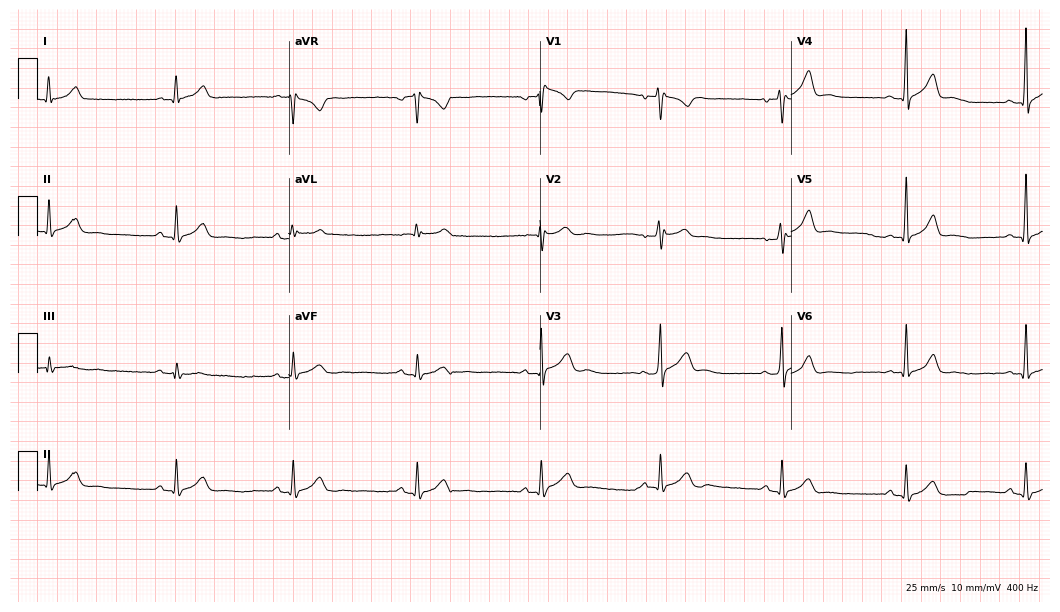
Electrocardiogram (10.2-second recording at 400 Hz), a 35-year-old male. Interpretation includes sinus bradycardia (a sinus rate of 50 beats per minute or less).